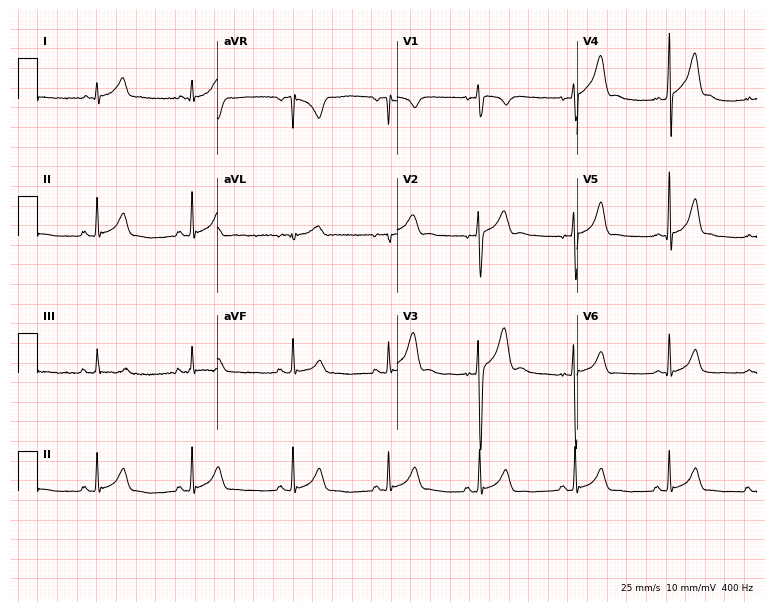
12-lead ECG from a male, 22 years old. Recorded interpretation: within normal limits.